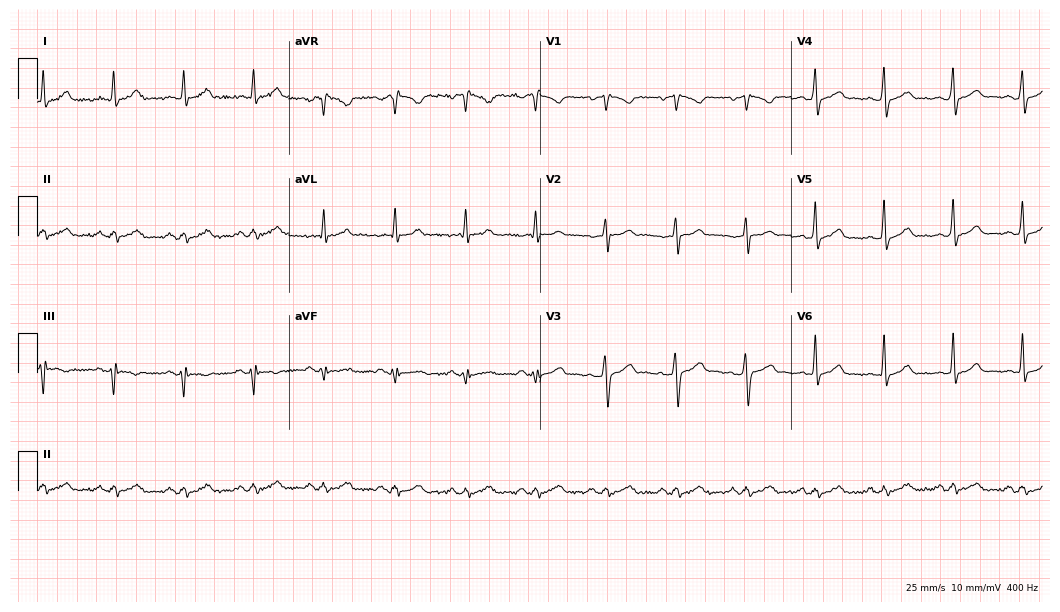
Electrocardiogram, a 44-year-old male patient. Of the six screened findings (first-degree AV block, right bundle branch block, left bundle branch block, sinus bradycardia, atrial fibrillation, sinus tachycardia), none is recorded. Other findings, if any, are not listed.